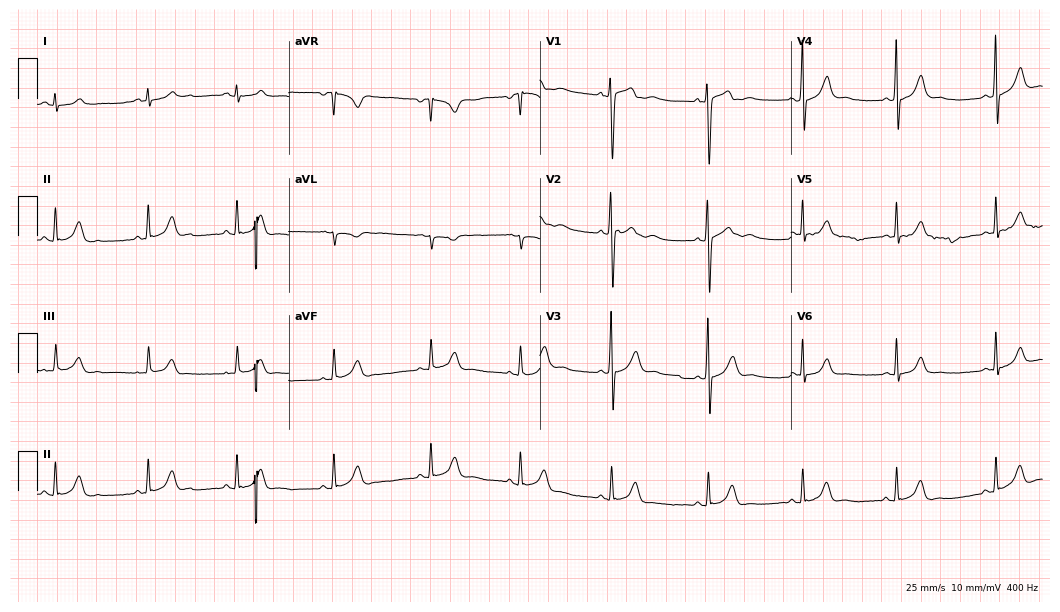
ECG — a man, 18 years old. Labelled as a normal ECG.